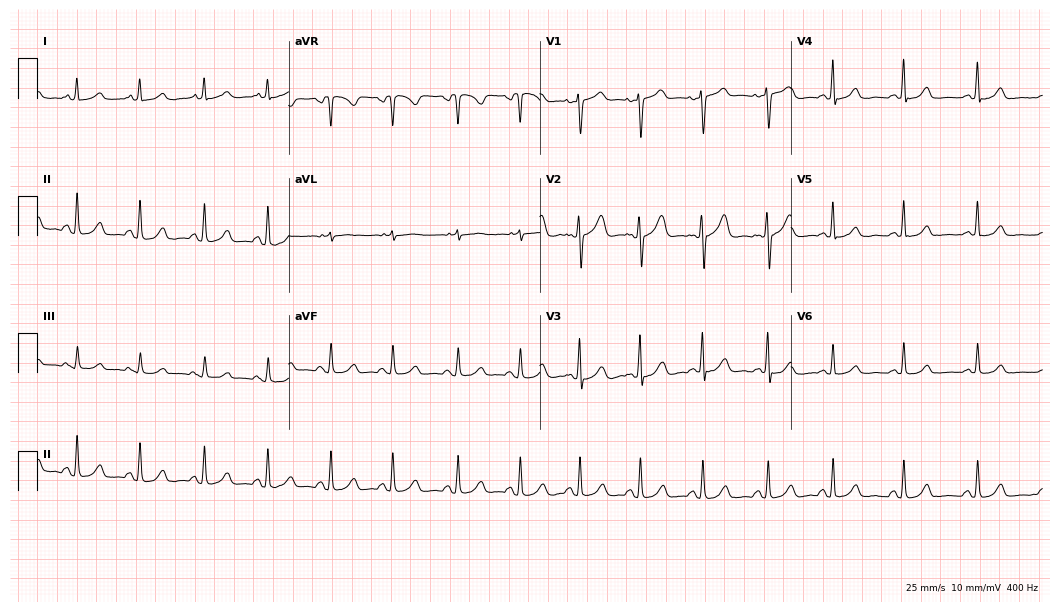
12-lead ECG from a 39-year-old female patient. Recorded interpretation: within normal limits.